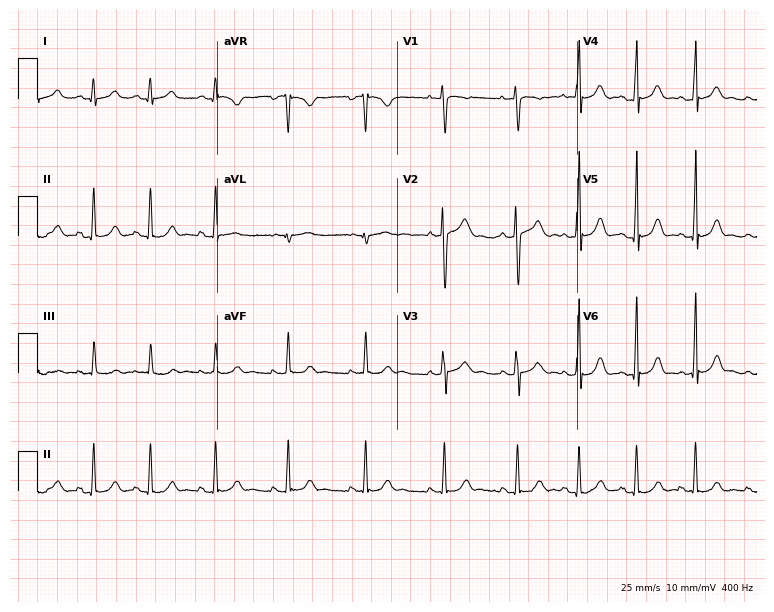
Standard 12-lead ECG recorded from a female, 18 years old (7.3-second recording at 400 Hz). Read as a normal ECG.